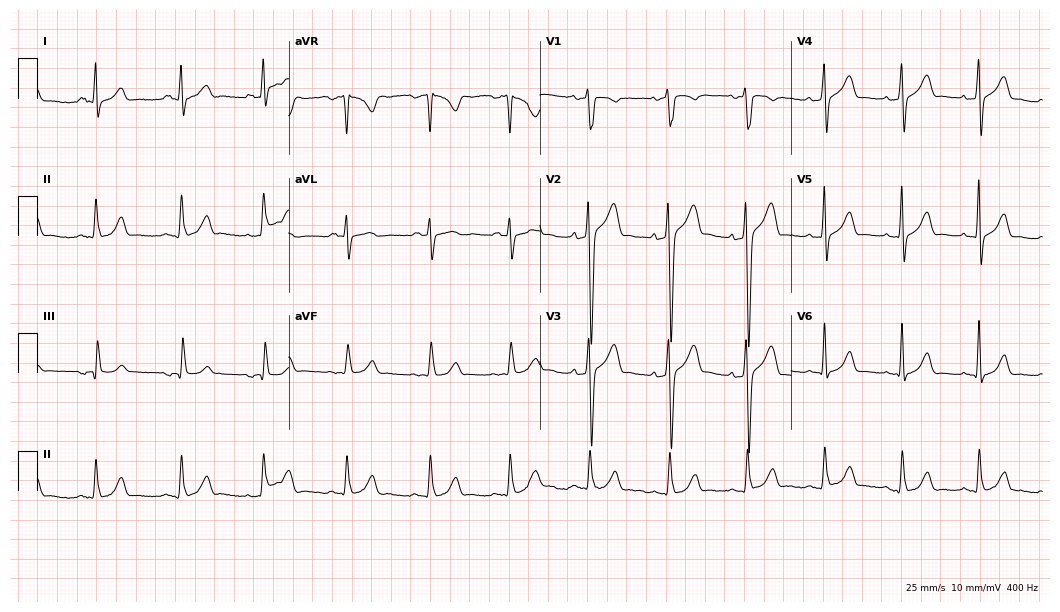
Electrocardiogram, a 49-year-old male patient. Of the six screened findings (first-degree AV block, right bundle branch block (RBBB), left bundle branch block (LBBB), sinus bradycardia, atrial fibrillation (AF), sinus tachycardia), none is recorded.